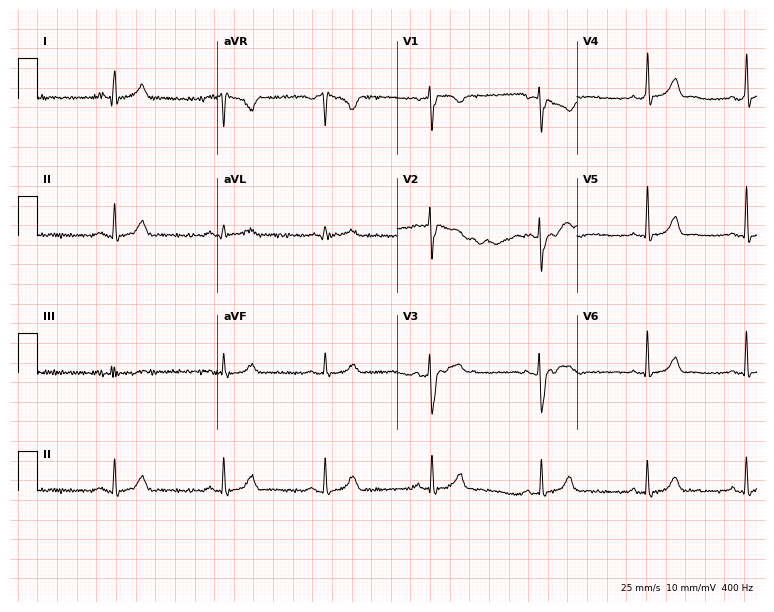
12-lead ECG (7.3-second recording at 400 Hz) from a 39-year-old woman. Labelled as a normal ECG.